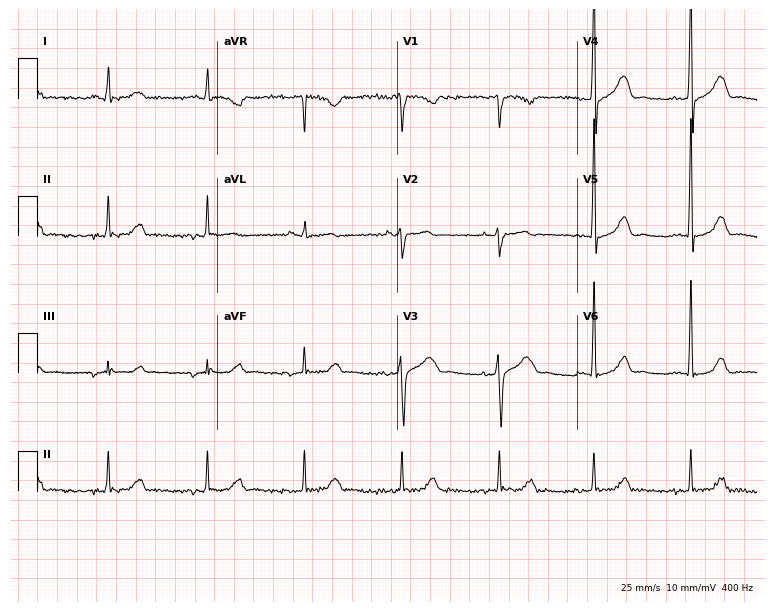
12-lead ECG from a man, 44 years old. Screened for six findings — first-degree AV block, right bundle branch block, left bundle branch block, sinus bradycardia, atrial fibrillation, sinus tachycardia — none is recorded.